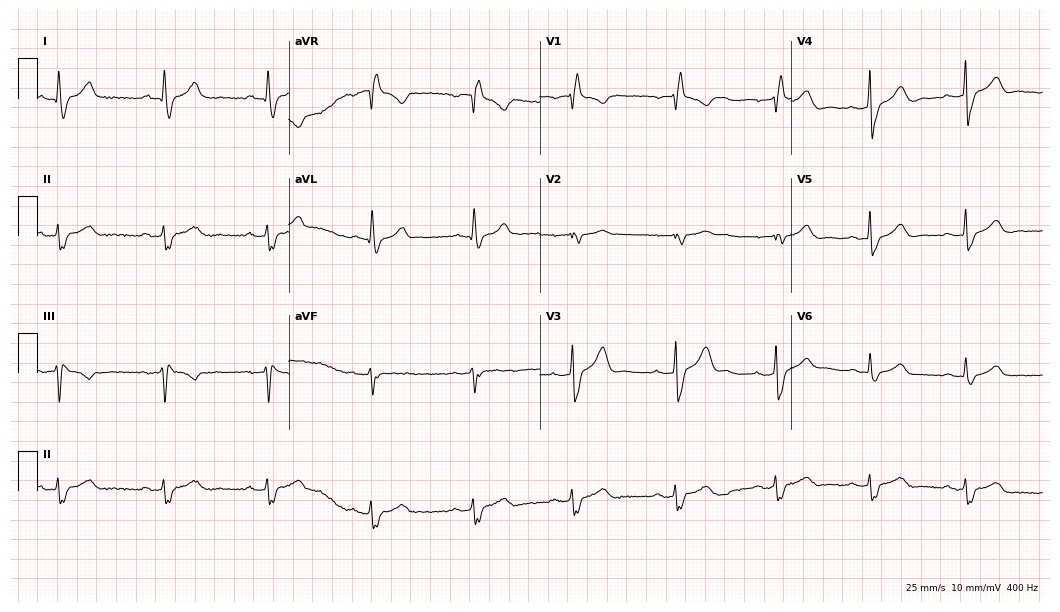
ECG (10.2-second recording at 400 Hz) — a male patient, 59 years old. Findings include right bundle branch block (RBBB).